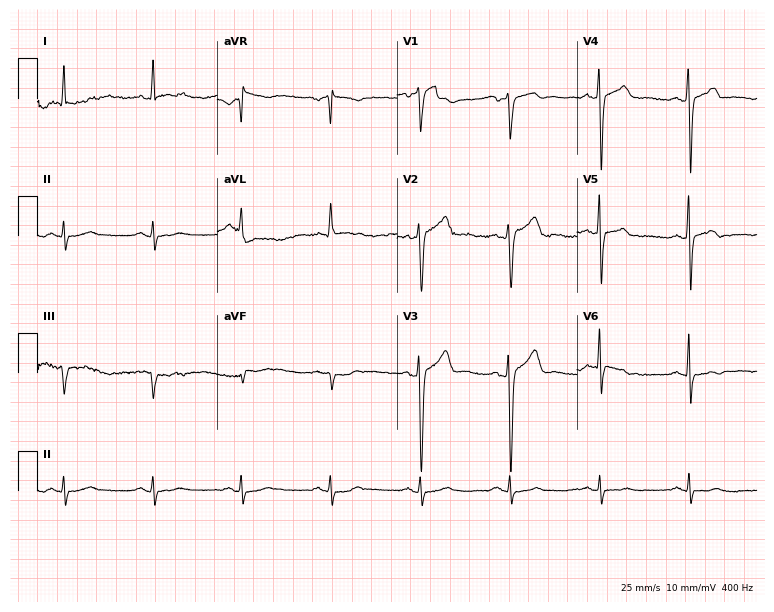
Standard 12-lead ECG recorded from a man, 56 years old (7.3-second recording at 400 Hz). Read as a normal ECG.